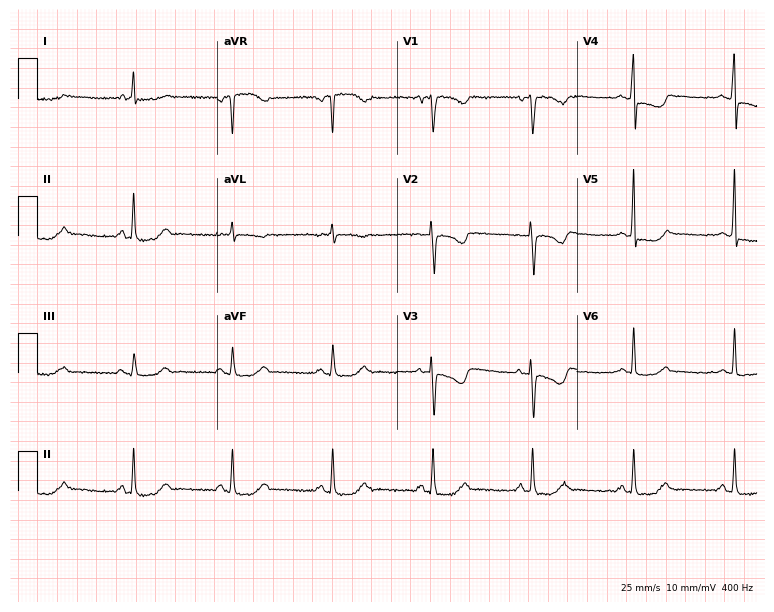
12-lead ECG from a 61-year-old female. No first-degree AV block, right bundle branch block (RBBB), left bundle branch block (LBBB), sinus bradycardia, atrial fibrillation (AF) or sinus tachycardia recorded for this tracing. Other findings, if any, are not listed.